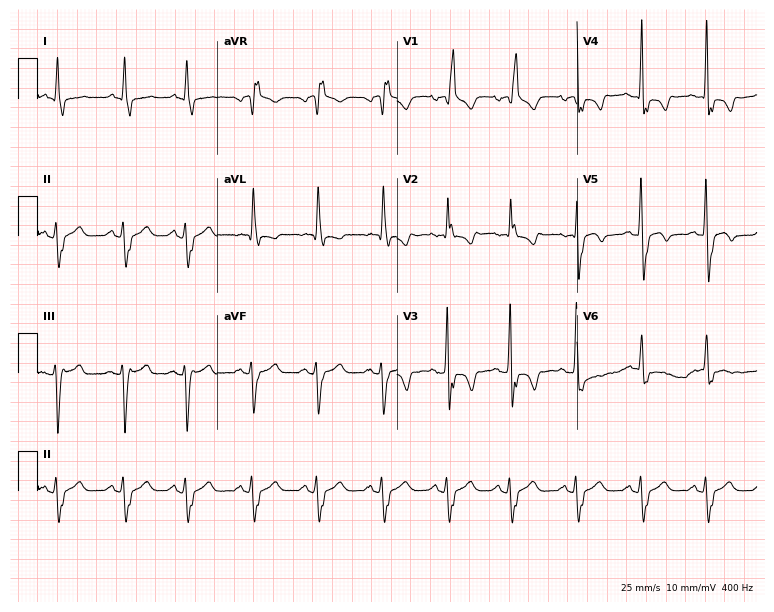
ECG (7.3-second recording at 400 Hz) — a male, 82 years old. Findings include right bundle branch block (RBBB).